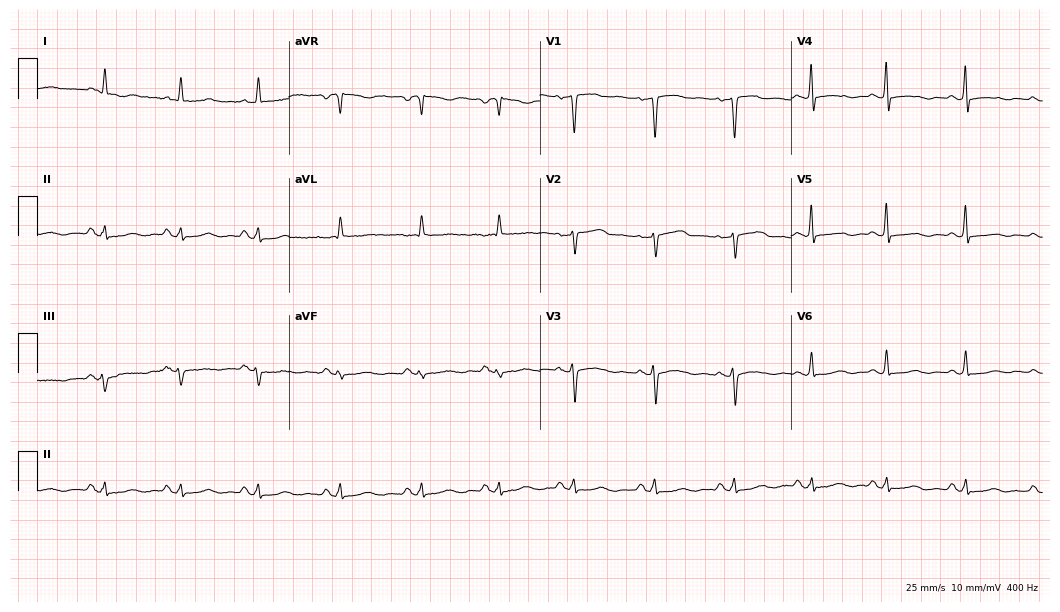
Standard 12-lead ECG recorded from a female, 53 years old. None of these six findings is recorded: first-degree AV block, right bundle branch block, left bundle branch block, sinus bradycardia, atrial fibrillation, sinus tachycardia. Only these six findings were labelled.